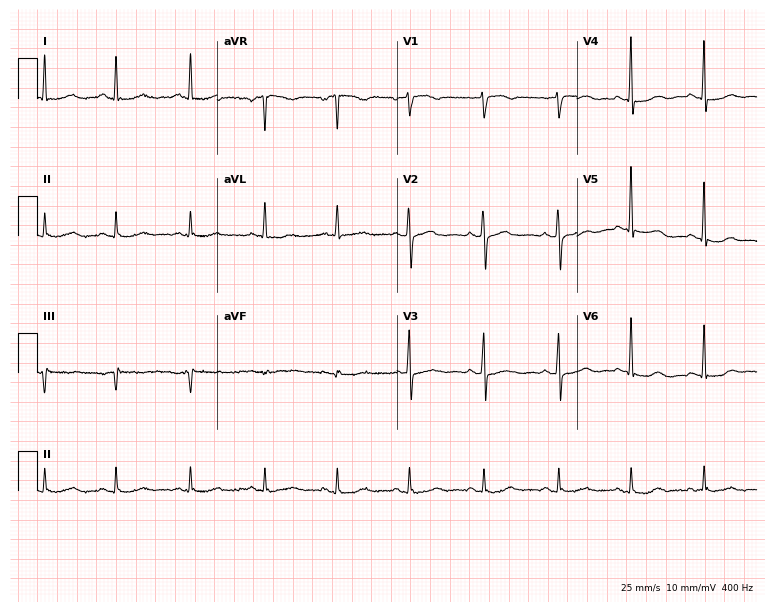
Electrocardiogram, a woman, 68 years old. Of the six screened findings (first-degree AV block, right bundle branch block (RBBB), left bundle branch block (LBBB), sinus bradycardia, atrial fibrillation (AF), sinus tachycardia), none is recorded. Only these six findings were labelled.